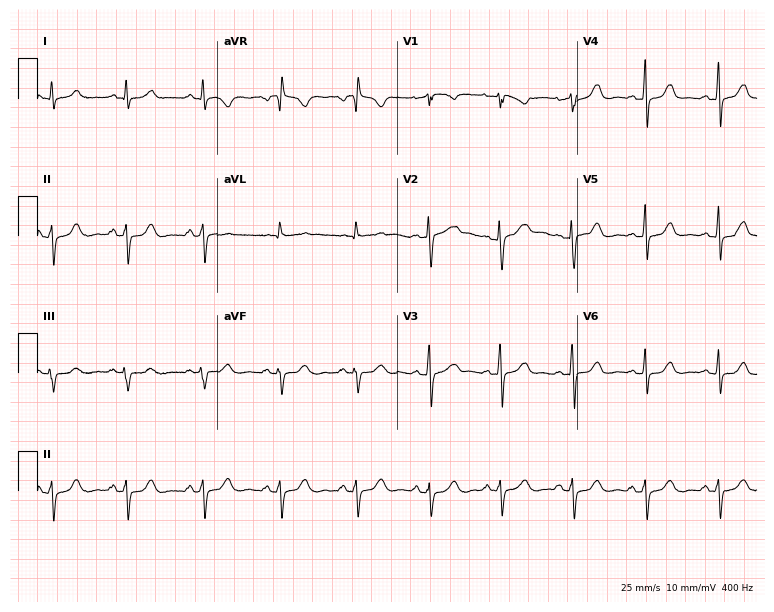
12-lead ECG from a female, 33 years old. No first-degree AV block, right bundle branch block, left bundle branch block, sinus bradycardia, atrial fibrillation or sinus tachycardia recorded for this tracing. Findings outside these six are not listed.